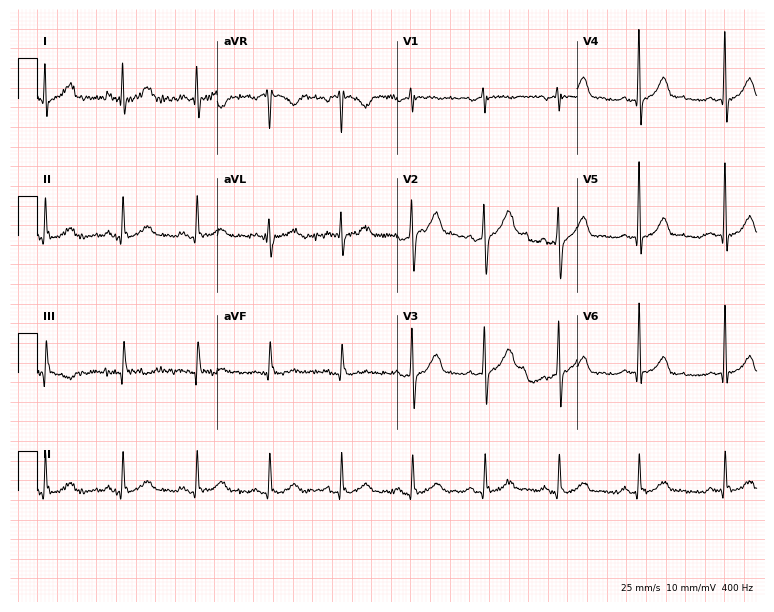
Electrocardiogram, a 42-year-old male. Of the six screened findings (first-degree AV block, right bundle branch block, left bundle branch block, sinus bradycardia, atrial fibrillation, sinus tachycardia), none is recorded.